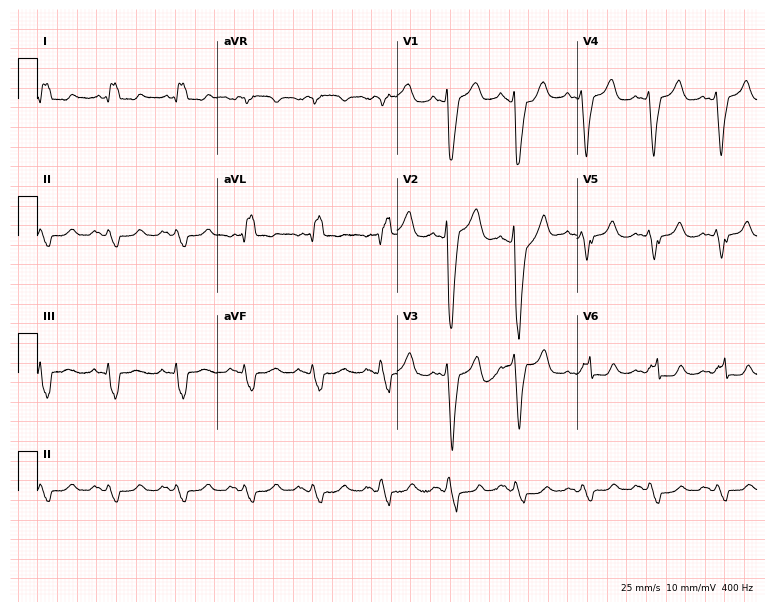
ECG (7.3-second recording at 400 Hz) — a female patient, 78 years old. Findings include left bundle branch block (LBBB).